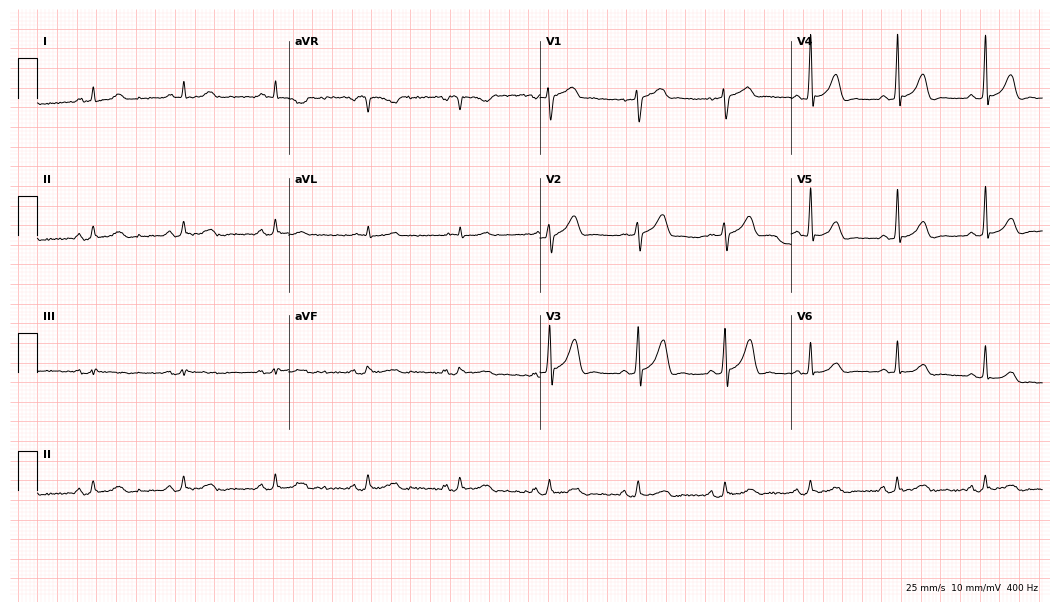
12-lead ECG (10.2-second recording at 400 Hz) from a male patient, 64 years old. Labelled as a normal ECG.